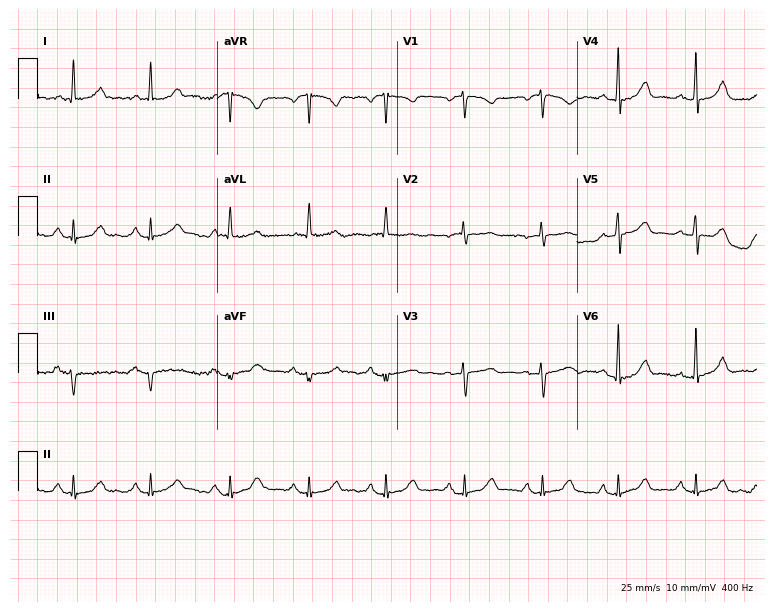
Standard 12-lead ECG recorded from a 66-year-old female (7.3-second recording at 400 Hz). Read as a normal ECG.